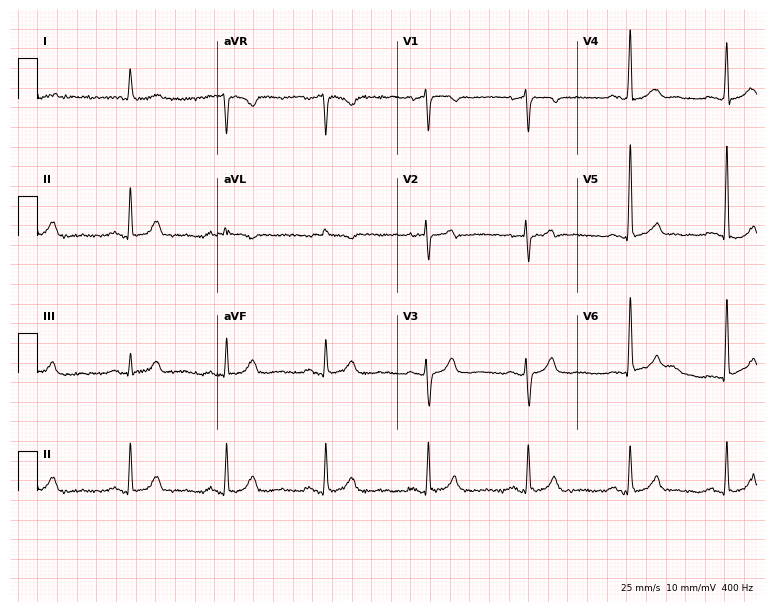
Electrocardiogram, a female patient, 73 years old. Of the six screened findings (first-degree AV block, right bundle branch block (RBBB), left bundle branch block (LBBB), sinus bradycardia, atrial fibrillation (AF), sinus tachycardia), none is recorded. Only these six findings were labelled.